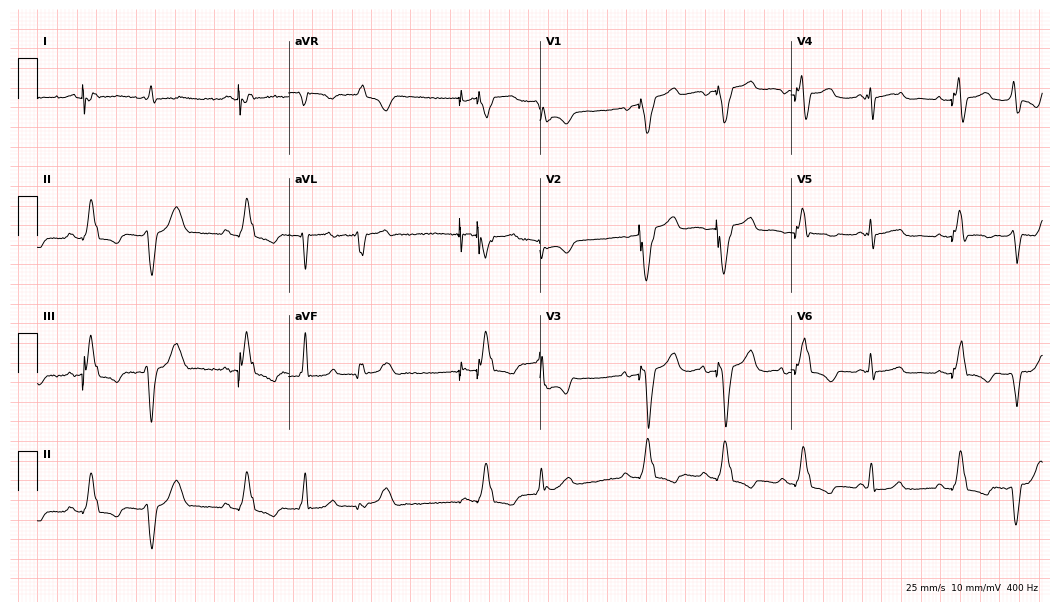
Standard 12-lead ECG recorded from a female, 69 years old. None of these six findings is recorded: first-degree AV block, right bundle branch block (RBBB), left bundle branch block (LBBB), sinus bradycardia, atrial fibrillation (AF), sinus tachycardia. Only these six findings were labelled.